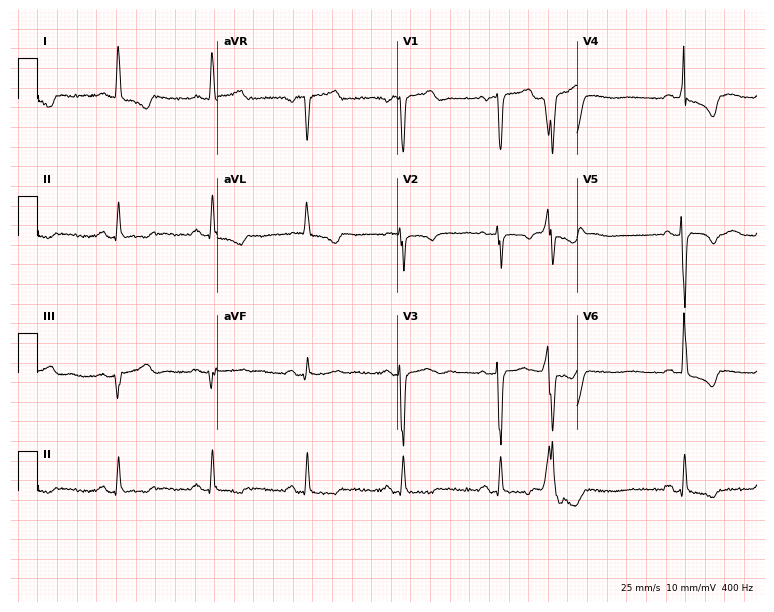
ECG — a female, 69 years old. Screened for six findings — first-degree AV block, right bundle branch block, left bundle branch block, sinus bradycardia, atrial fibrillation, sinus tachycardia — none is recorded.